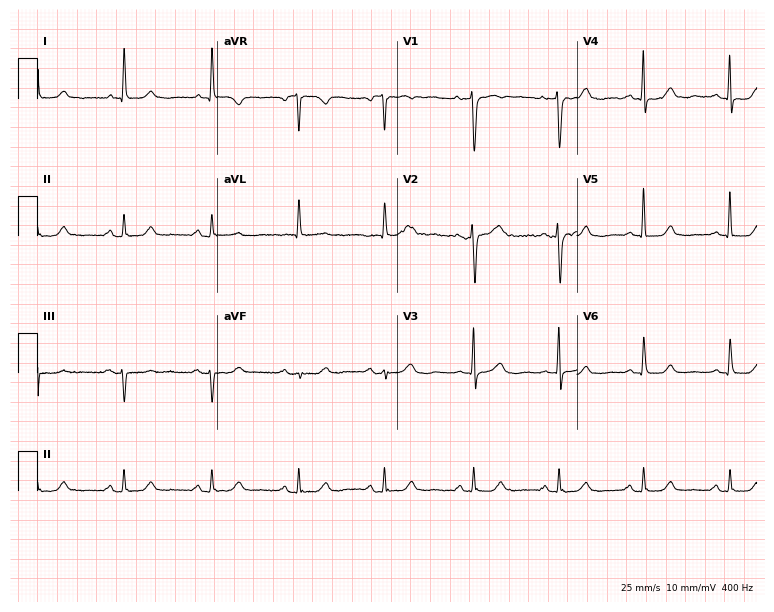
Resting 12-lead electrocardiogram (7.3-second recording at 400 Hz). Patient: a 72-year-old female. Read as a normal ECG.